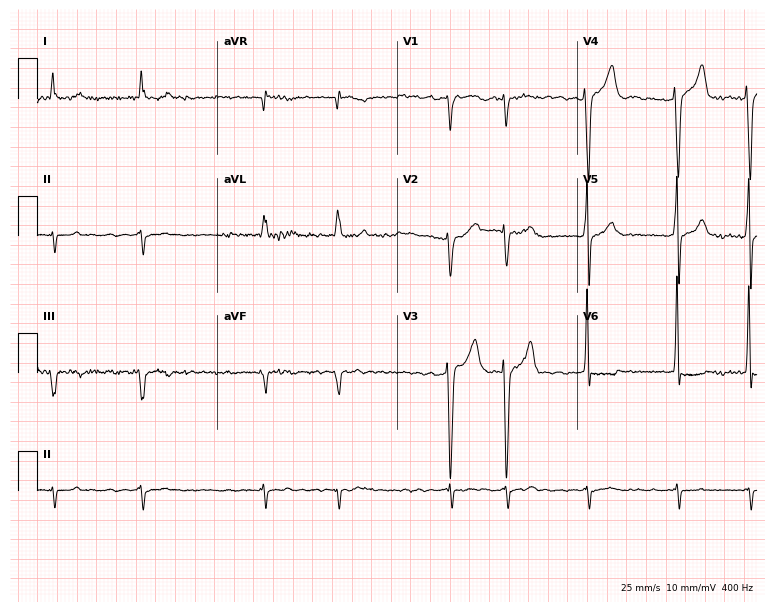
ECG (7.3-second recording at 400 Hz) — a 60-year-old man. Findings include atrial fibrillation.